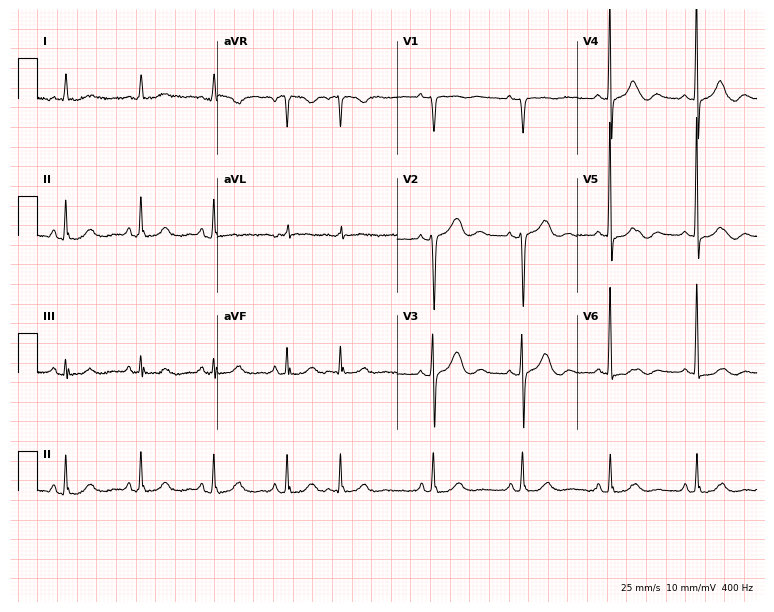
12-lead ECG (7.3-second recording at 400 Hz) from a female patient, 66 years old. Labelled as a normal ECG.